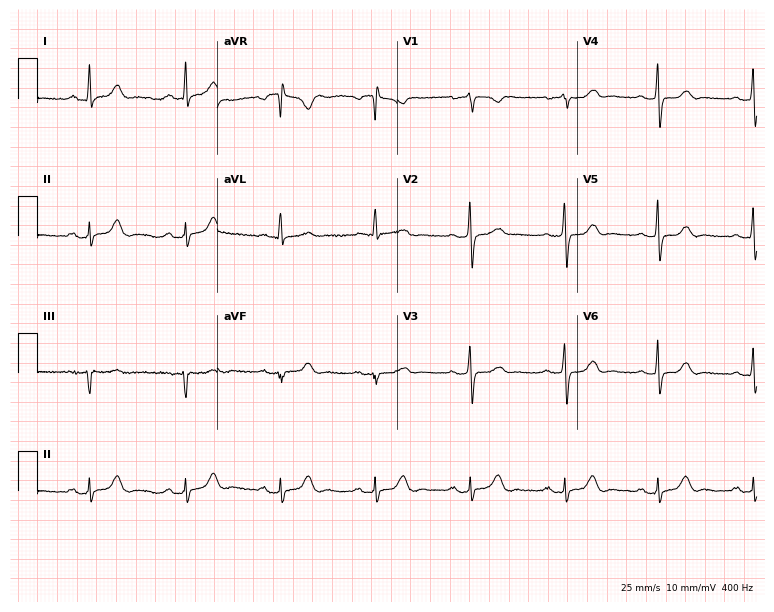
12-lead ECG from a 66-year-old woman. Labelled as a normal ECG.